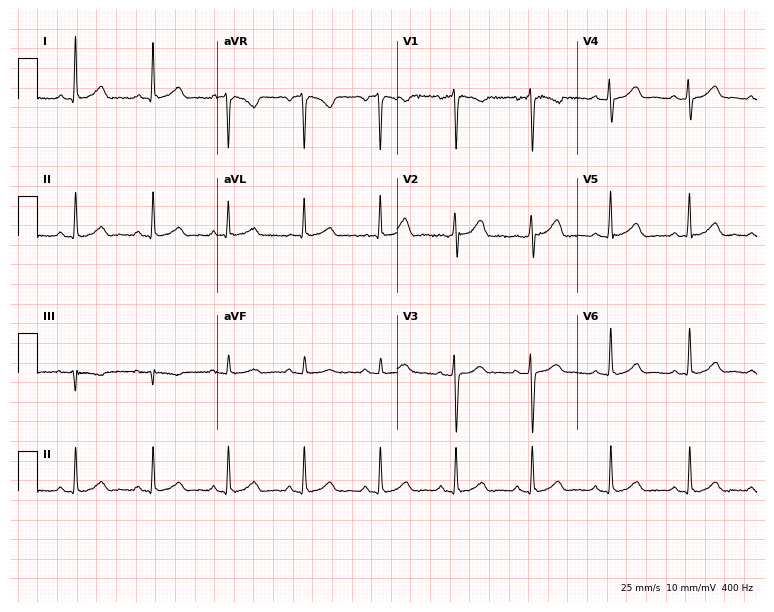
Resting 12-lead electrocardiogram (7.3-second recording at 400 Hz). Patient: a 46-year-old female. Read as a normal ECG.